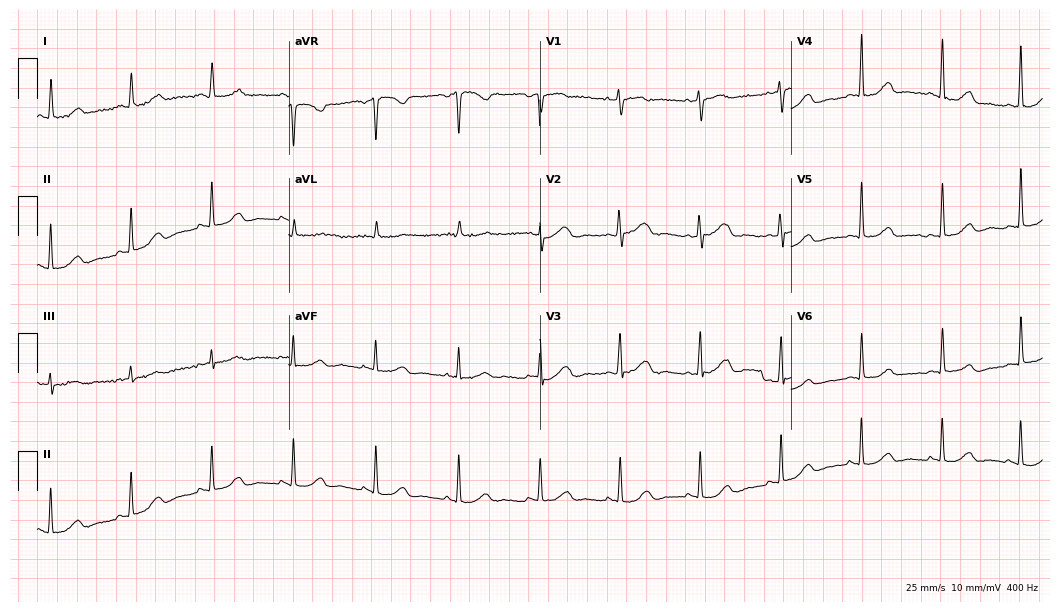
Standard 12-lead ECG recorded from an 81-year-old female (10.2-second recording at 400 Hz). Read as a normal ECG.